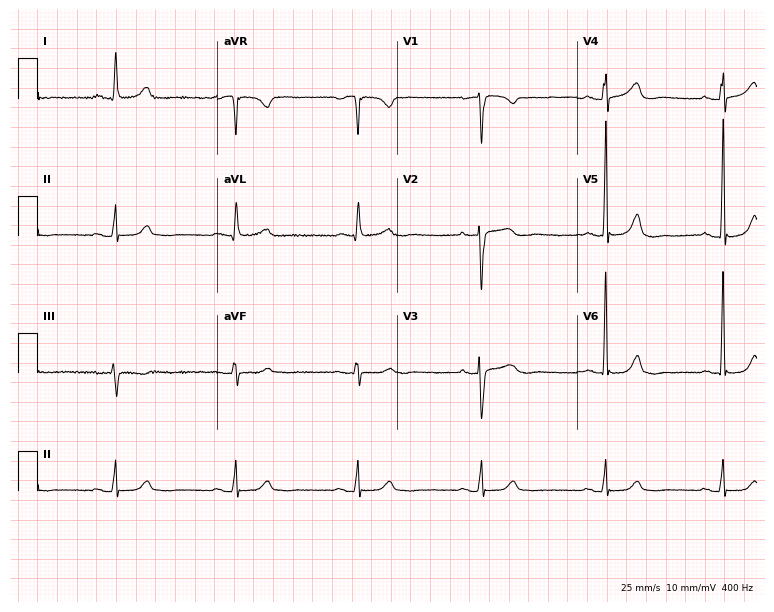
Standard 12-lead ECG recorded from a female, 69 years old. Read as a normal ECG.